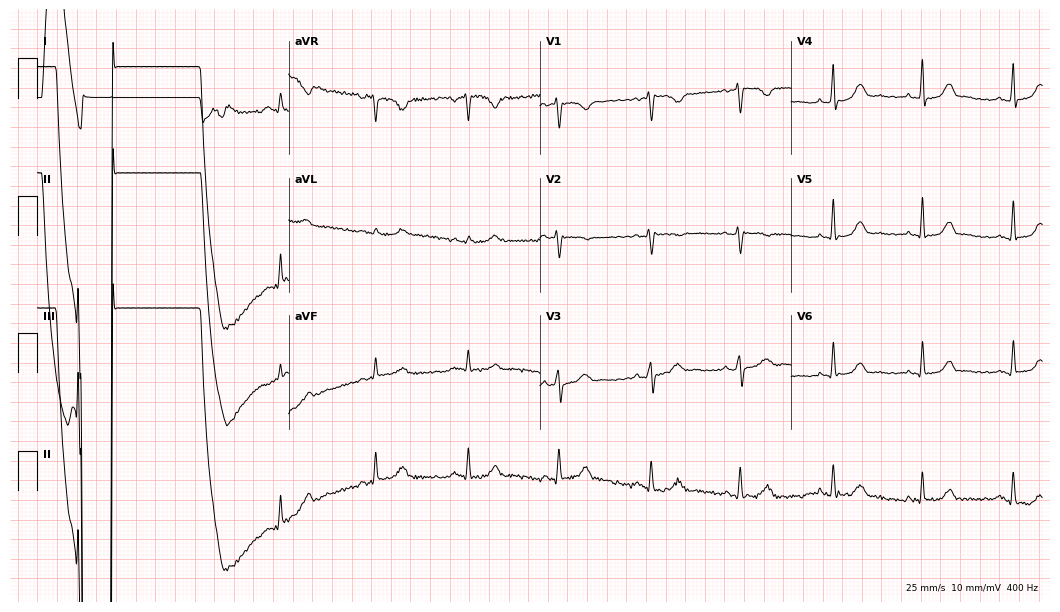
Resting 12-lead electrocardiogram (10.2-second recording at 400 Hz). Patient: a female, 32 years old. None of these six findings is recorded: first-degree AV block, right bundle branch block (RBBB), left bundle branch block (LBBB), sinus bradycardia, atrial fibrillation (AF), sinus tachycardia.